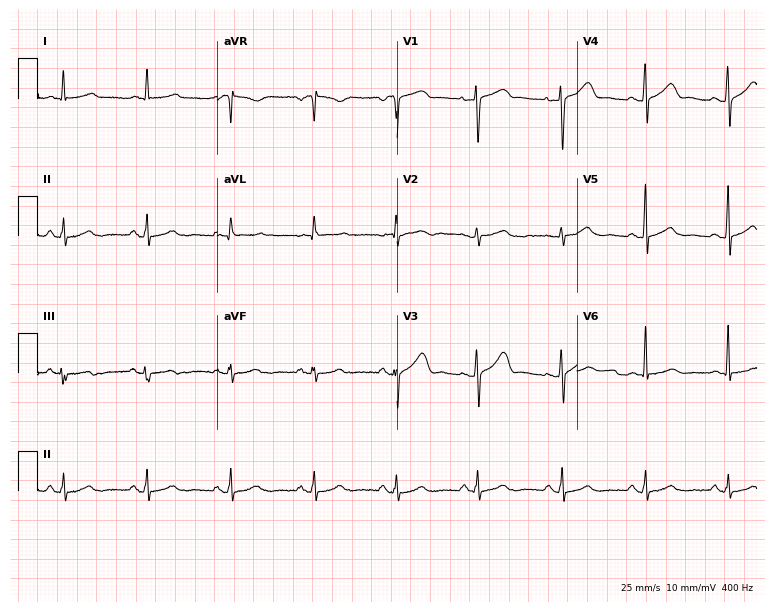
ECG (7.3-second recording at 400 Hz) — a female, 59 years old. Labelled as a normal ECG.